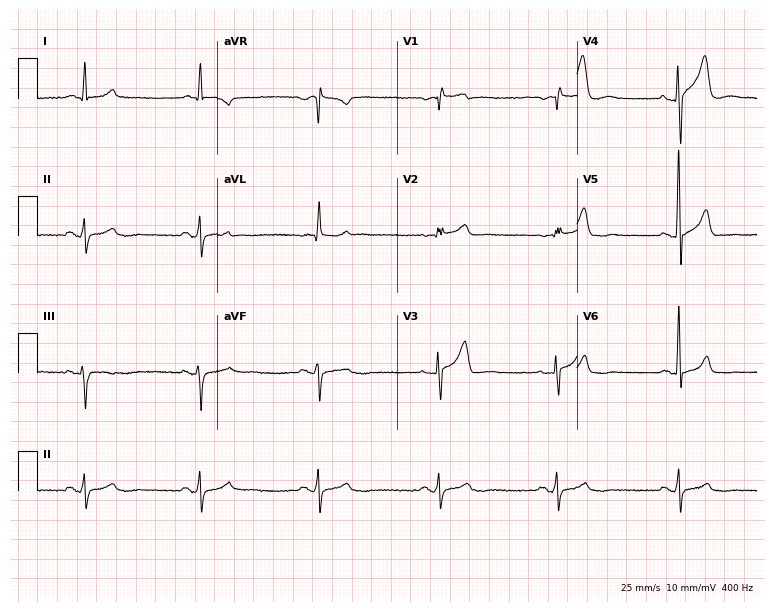
12-lead ECG (7.3-second recording at 400 Hz) from a male patient, 55 years old. Screened for six findings — first-degree AV block, right bundle branch block, left bundle branch block, sinus bradycardia, atrial fibrillation, sinus tachycardia — none is recorded. Only these six findings were labelled.